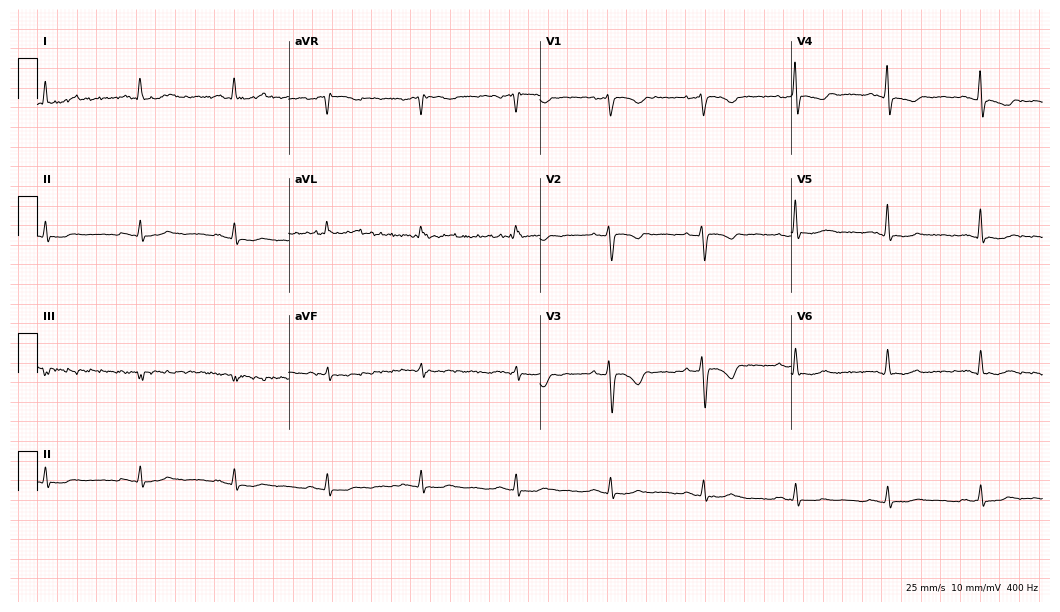
Electrocardiogram, a 57-year-old female patient. Of the six screened findings (first-degree AV block, right bundle branch block (RBBB), left bundle branch block (LBBB), sinus bradycardia, atrial fibrillation (AF), sinus tachycardia), none is recorded. Findings outside these six are not listed.